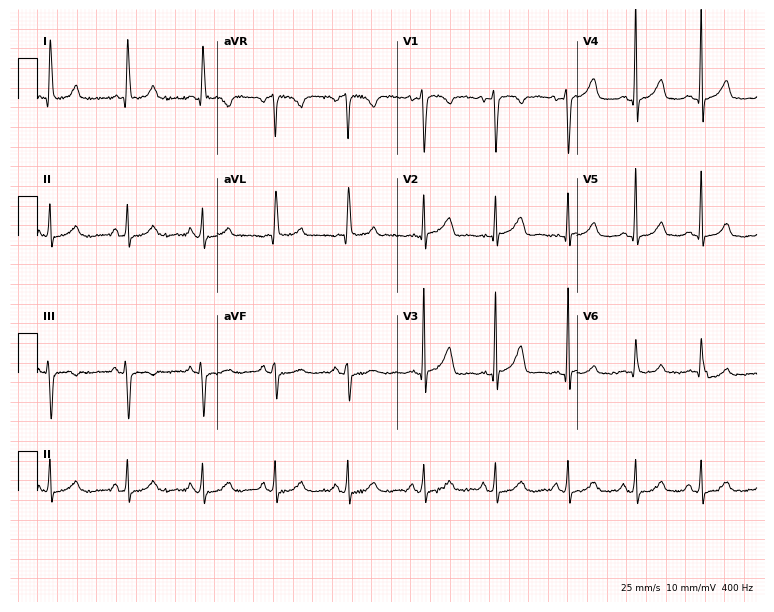
Resting 12-lead electrocardiogram (7.3-second recording at 400 Hz). Patient: a woman, 40 years old. None of these six findings is recorded: first-degree AV block, right bundle branch block, left bundle branch block, sinus bradycardia, atrial fibrillation, sinus tachycardia. Only these six findings were labelled.